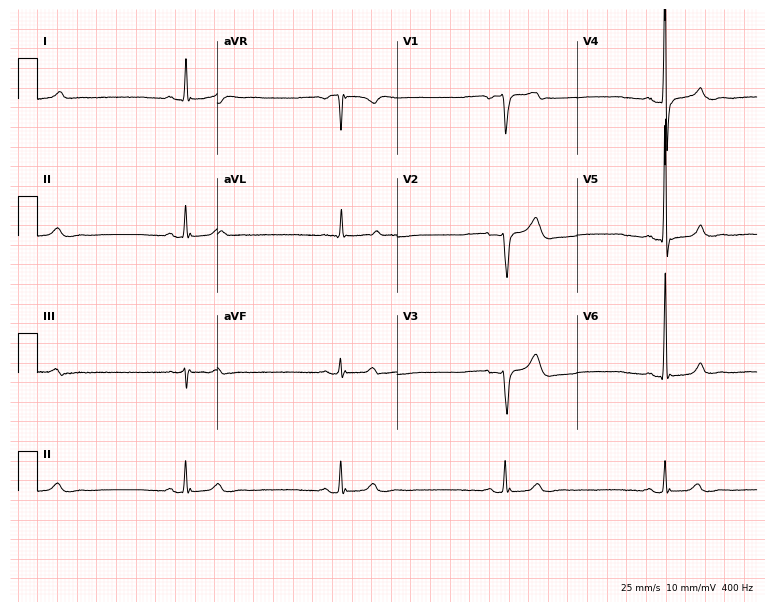
Standard 12-lead ECG recorded from a man, 50 years old (7.3-second recording at 400 Hz). None of these six findings is recorded: first-degree AV block, right bundle branch block, left bundle branch block, sinus bradycardia, atrial fibrillation, sinus tachycardia. Only these six findings were labelled.